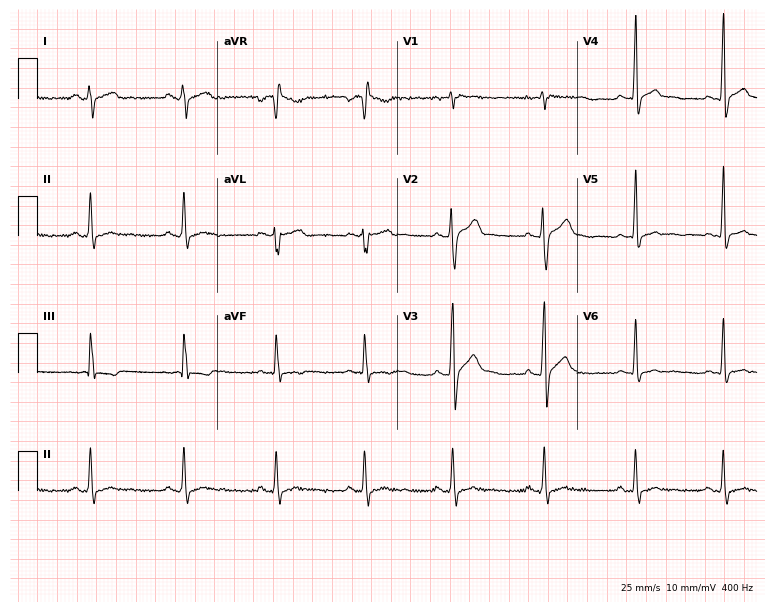
Resting 12-lead electrocardiogram. Patient: a 24-year-old male. None of these six findings is recorded: first-degree AV block, right bundle branch block, left bundle branch block, sinus bradycardia, atrial fibrillation, sinus tachycardia. Only these six findings were labelled.